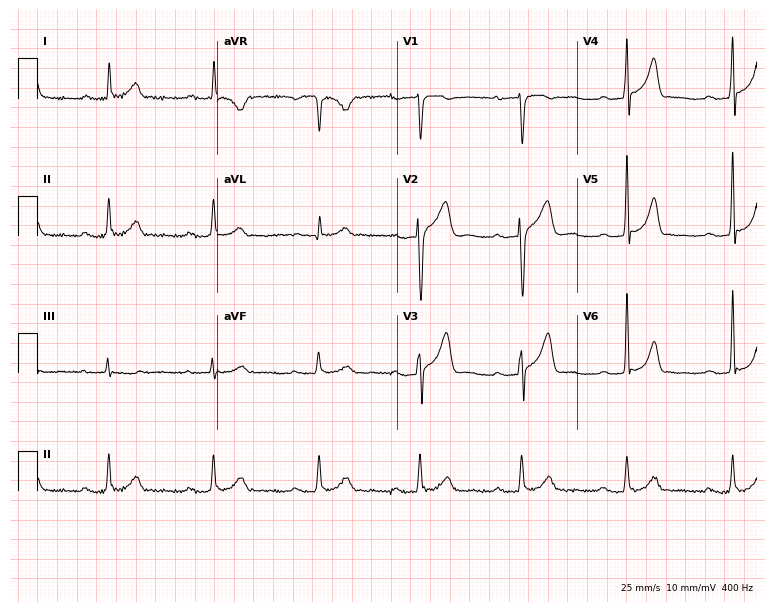
ECG (7.3-second recording at 400 Hz) — a 55-year-old man. Screened for six findings — first-degree AV block, right bundle branch block, left bundle branch block, sinus bradycardia, atrial fibrillation, sinus tachycardia — none is recorded.